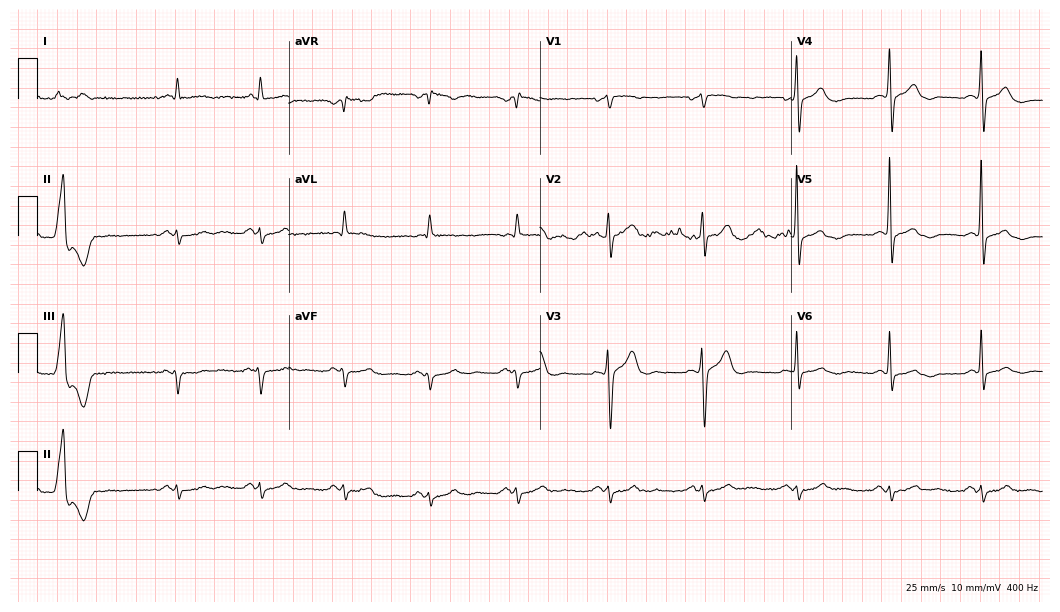
Standard 12-lead ECG recorded from an 82-year-old male. None of these six findings is recorded: first-degree AV block, right bundle branch block (RBBB), left bundle branch block (LBBB), sinus bradycardia, atrial fibrillation (AF), sinus tachycardia. Findings outside these six are not listed.